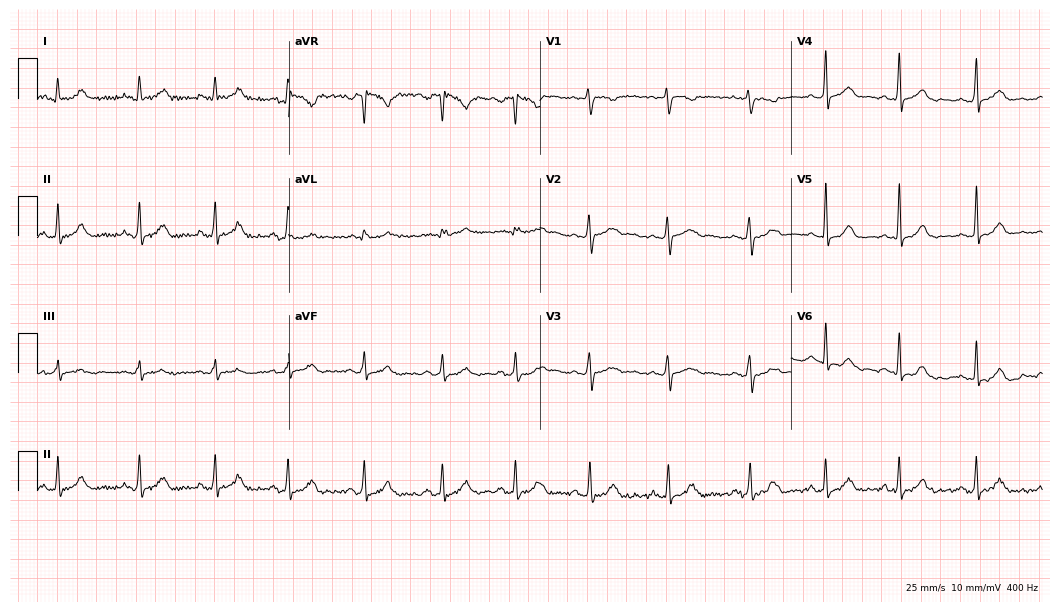
ECG — a woman, 34 years old. Labelled as a normal ECG.